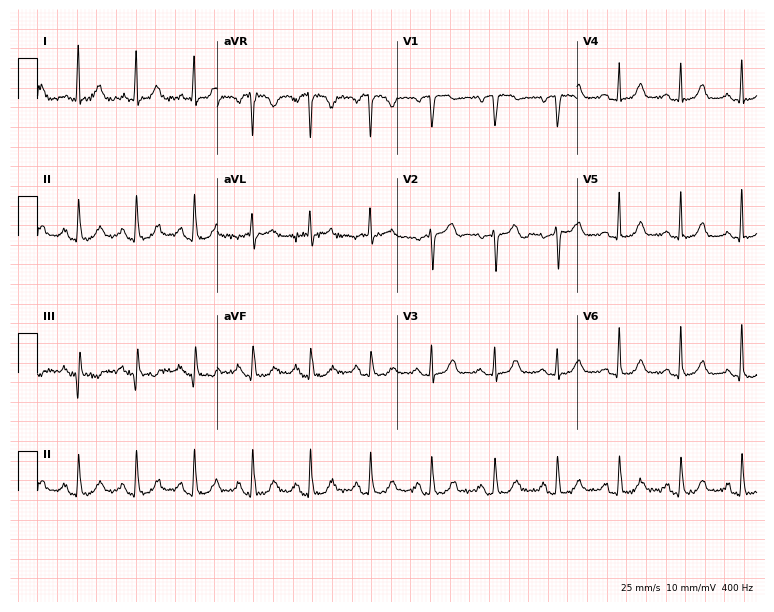
Resting 12-lead electrocardiogram. Patient: a 70-year-old female. Read as a normal ECG.